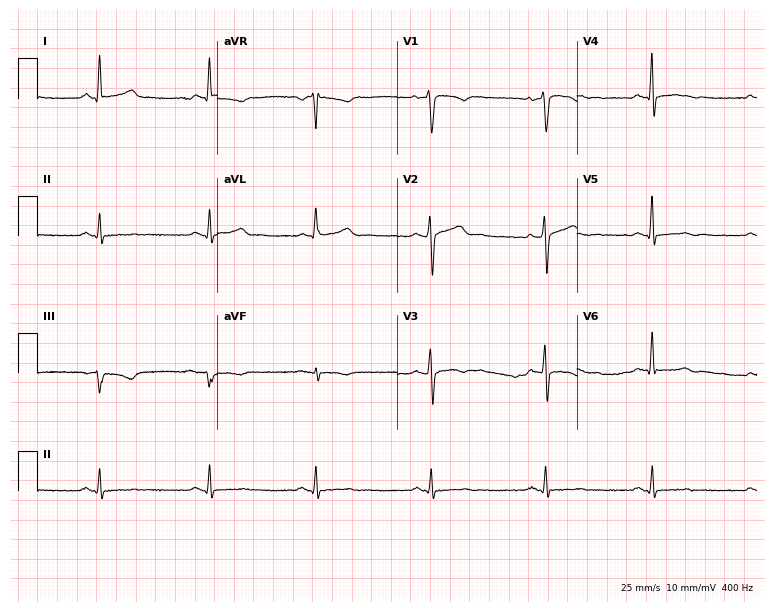
Standard 12-lead ECG recorded from a 52-year-old male patient (7.3-second recording at 400 Hz). None of these six findings is recorded: first-degree AV block, right bundle branch block, left bundle branch block, sinus bradycardia, atrial fibrillation, sinus tachycardia. Other findings, if any, are not listed.